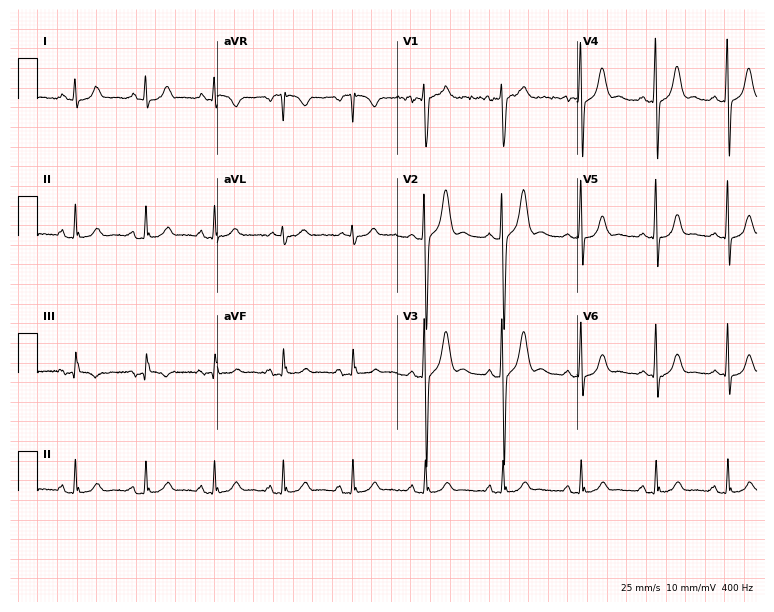
ECG (7.3-second recording at 400 Hz) — a male patient, 28 years old. Screened for six findings — first-degree AV block, right bundle branch block (RBBB), left bundle branch block (LBBB), sinus bradycardia, atrial fibrillation (AF), sinus tachycardia — none is recorded.